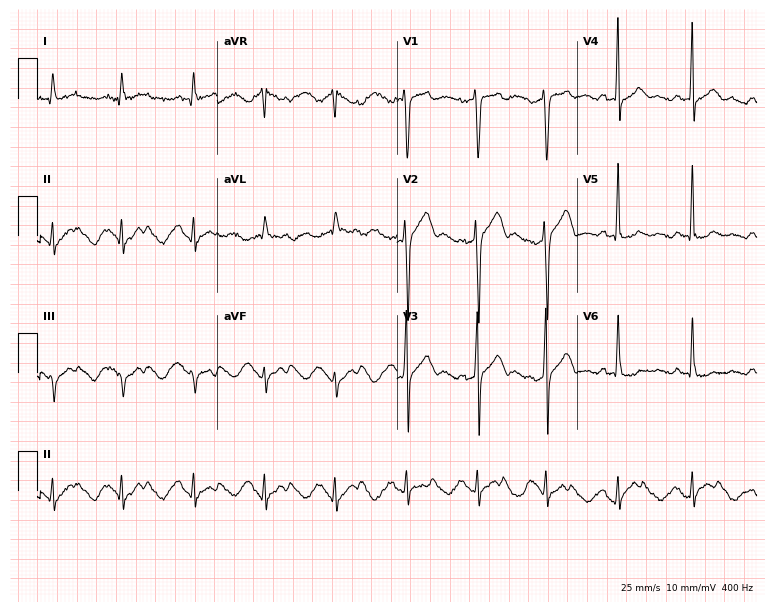
12-lead ECG from a man, 41 years old. Screened for six findings — first-degree AV block, right bundle branch block, left bundle branch block, sinus bradycardia, atrial fibrillation, sinus tachycardia — none is recorded.